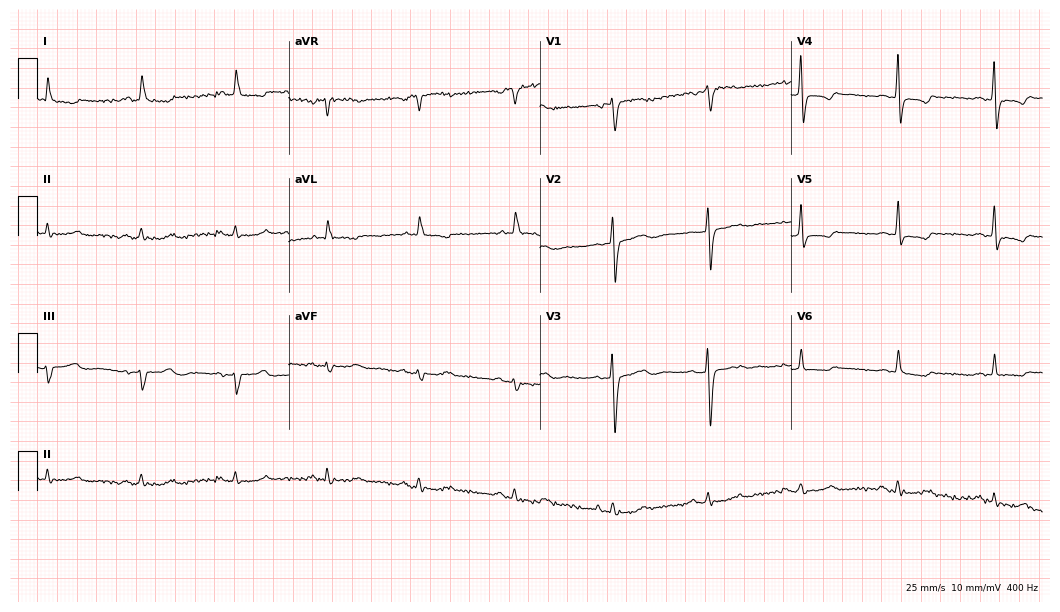
Standard 12-lead ECG recorded from an 80-year-old woman. Read as a normal ECG.